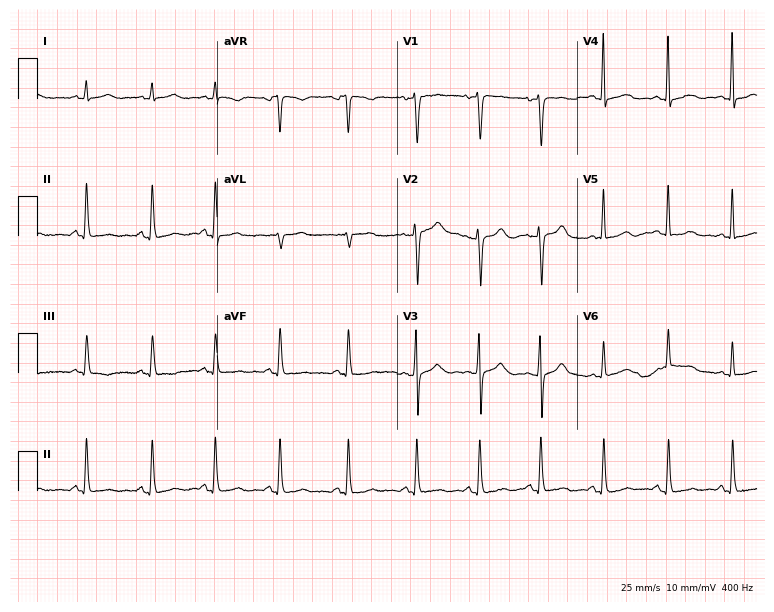
12-lead ECG from a female patient, 35 years old. Labelled as a normal ECG.